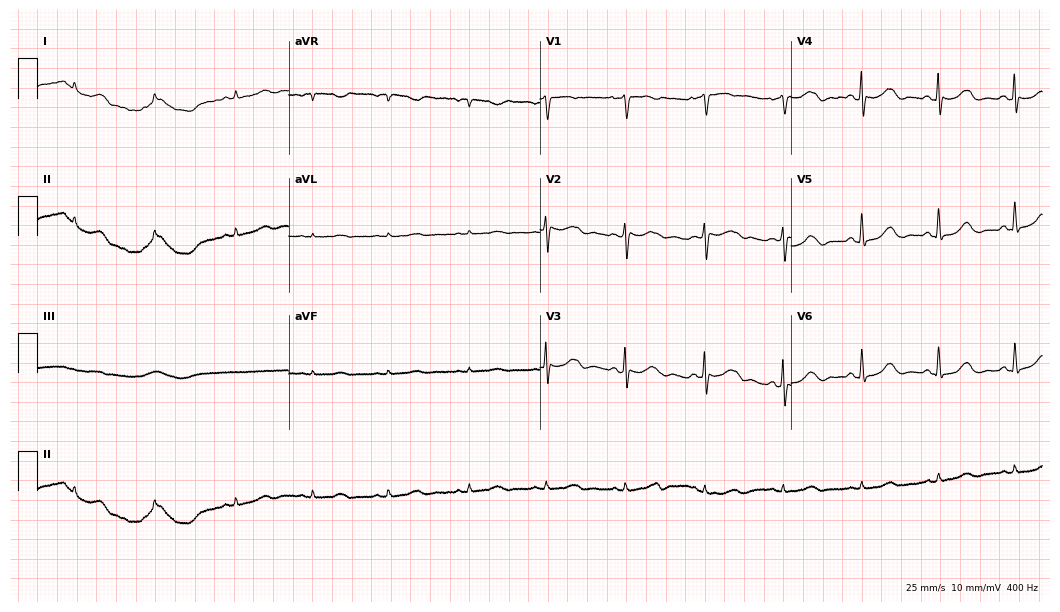
12-lead ECG from an 82-year-old woman (10.2-second recording at 400 Hz). No first-degree AV block, right bundle branch block, left bundle branch block, sinus bradycardia, atrial fibrillation or sinus tachycardia recorded for this tracing. Other findings, if any, are not listed.